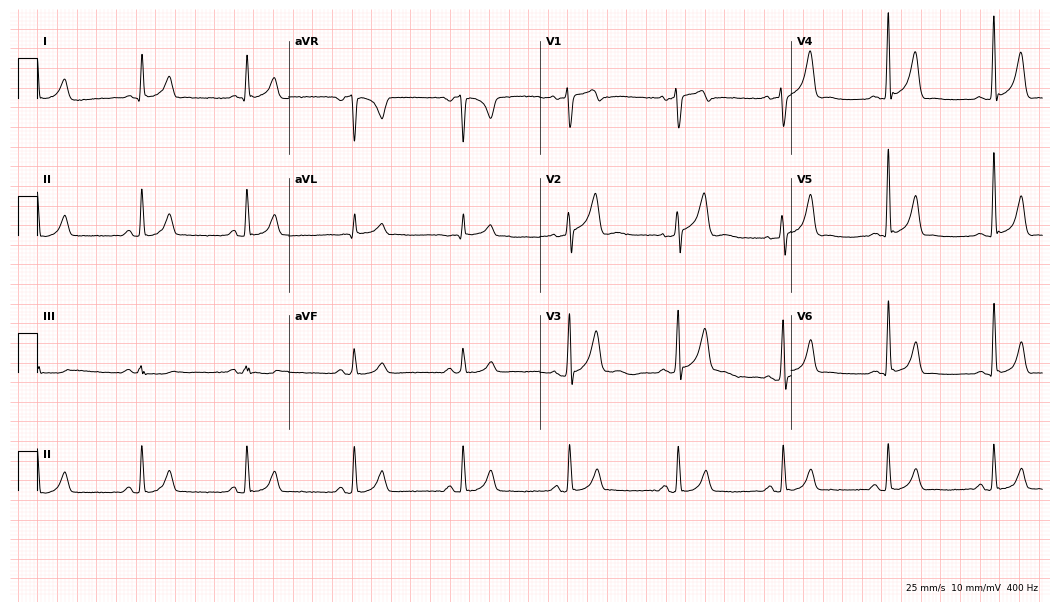
ECG — a 54-year-old male. Labelled as a normal ECG.